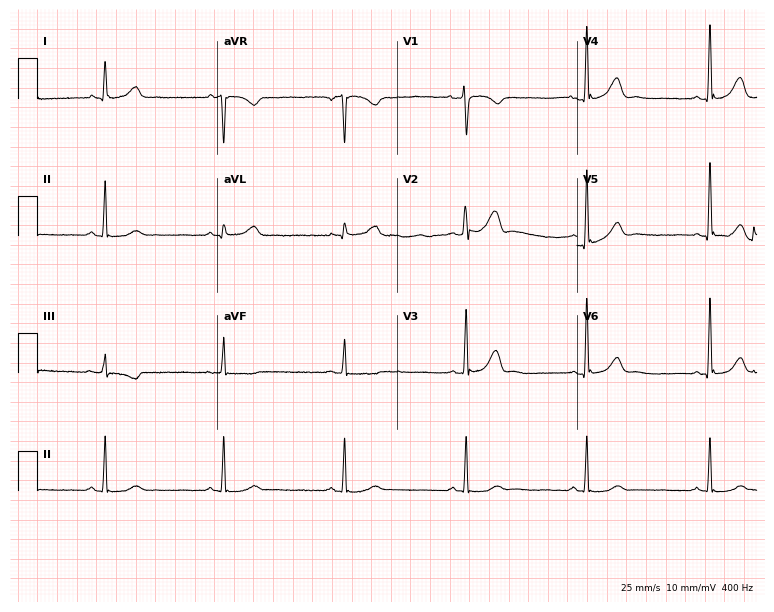
Resting 12-lead electrocardiogram. Patient: a female, 55 years old. The tracing shows sinus bradycardia (a sinus rate of 50 beats per minute or less).